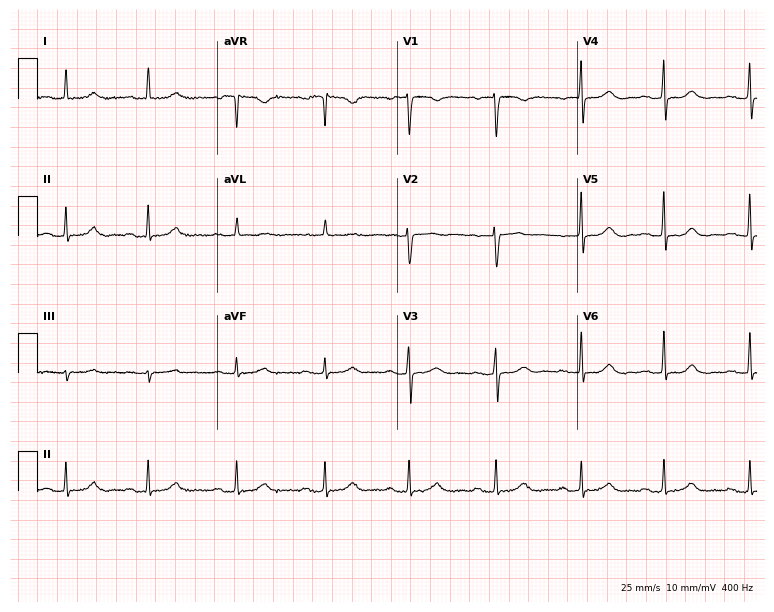
Resting 12-lead electrocardiogram (7.3-second recording at 400 Hz). Patient: a 39-year-old female. None of these six findings is recorded: first-degree AV block, right bundle branch block, left bundle branch block, sinus bradycardia, atrial fibrillation, sinus tachycardia. Findings outside these six are not listed.